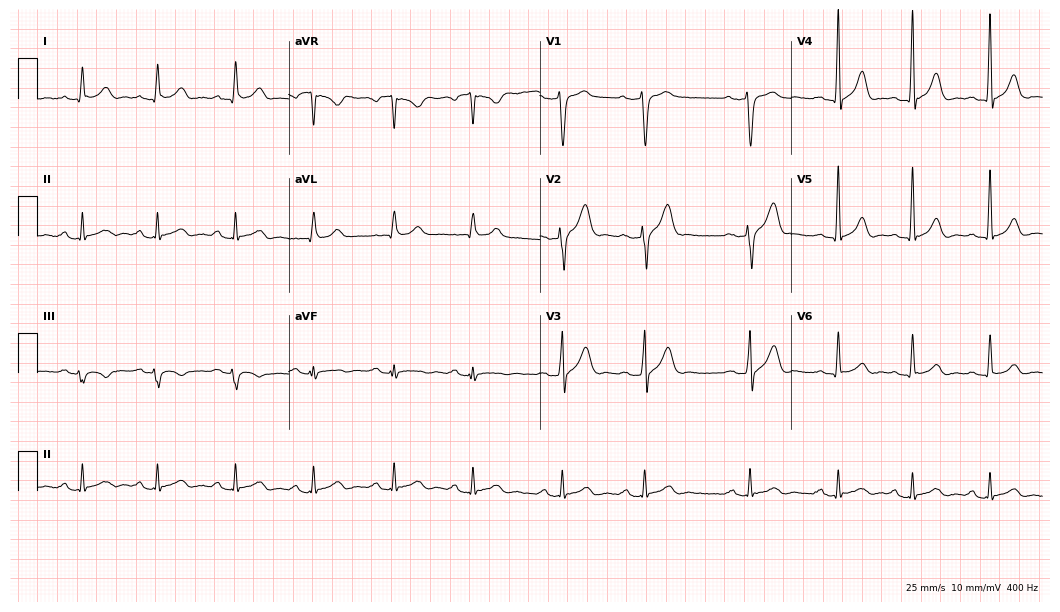
12-lead ECG from a male patient, 41 years old. Findings include first-degree AV block.